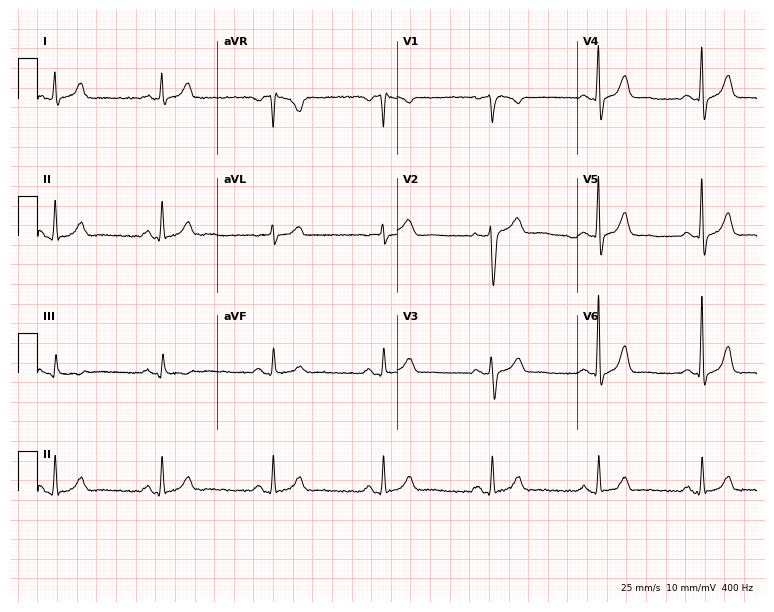
12-lead ECG from a male, 49 years old. Recorded interpretation: within normal limits.